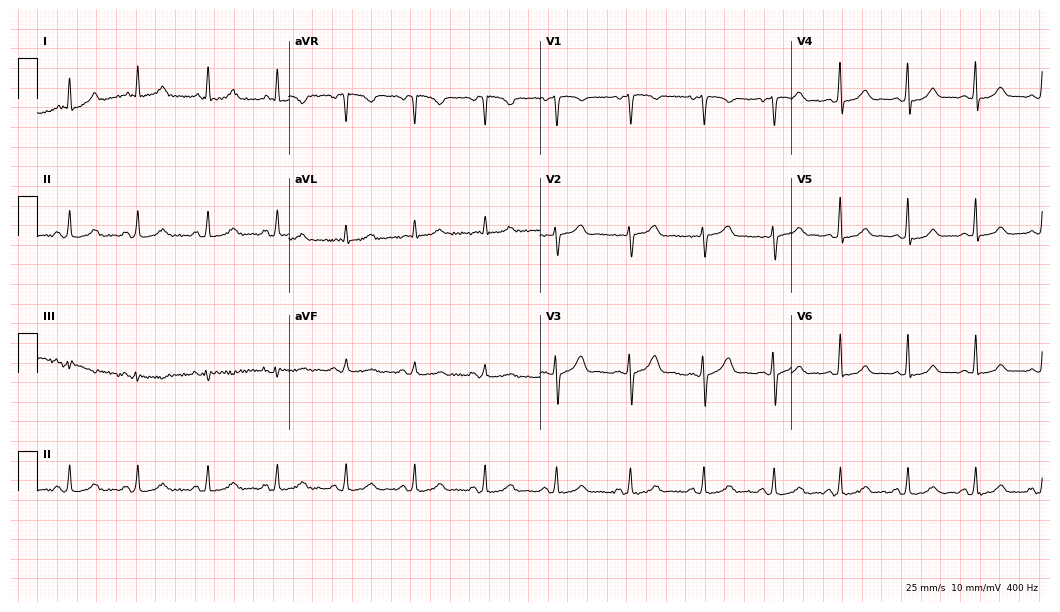
12-lead ECG from a 32-year-old female. Recorded interpretation: within normal limits.